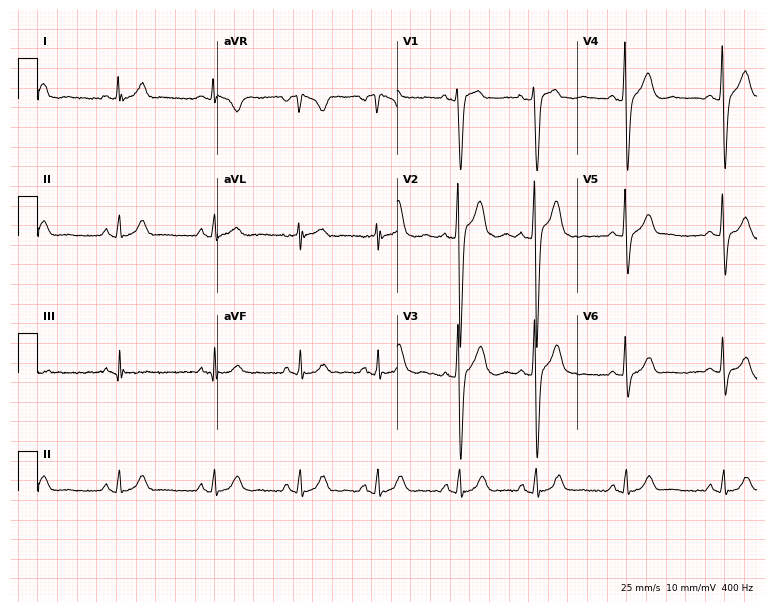
Electrocardiogram, a 34-year-old male patient. Overall reading on record: normal ECG.